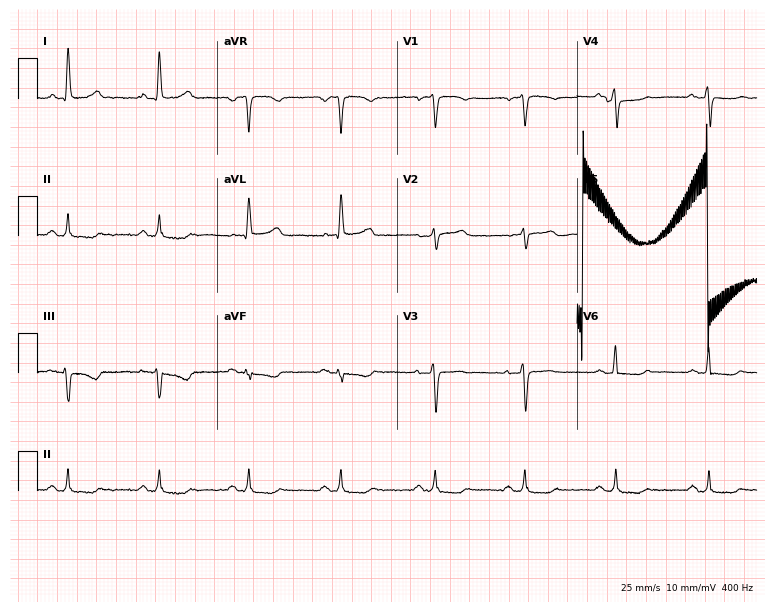
12-lead ECG from a female patient, 69 years old. No first-degree AV block, right bundle branch block, left bundle branch block, sinus bradycardia, atrial fibrillation or sinus tachycardia recorded for this tracing.